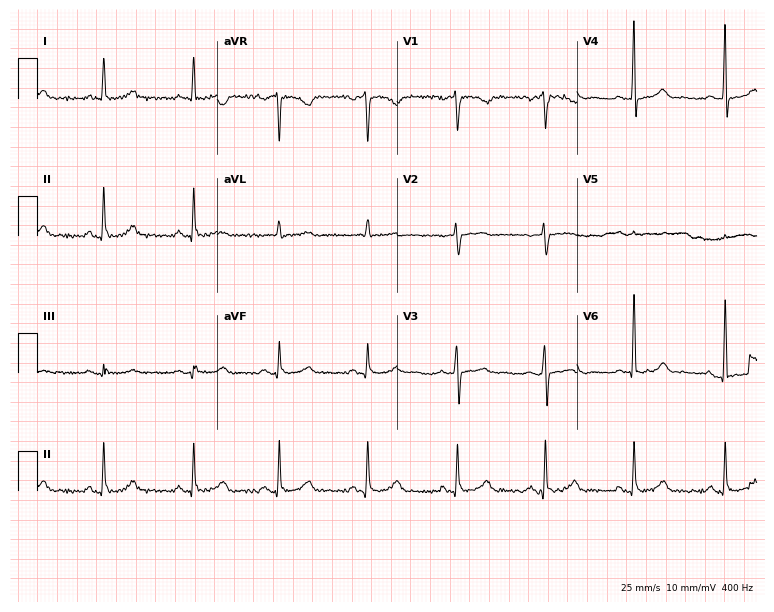
12-lead ECG (7.3-second recording at 400 Hz) from a 62-year-old female. Screened for six findings — first-degree AV block, right bundle branch block, left bundle branch block, sinus bradycardia, atrial fibrillation, sinus tachycardia — none is recorded.